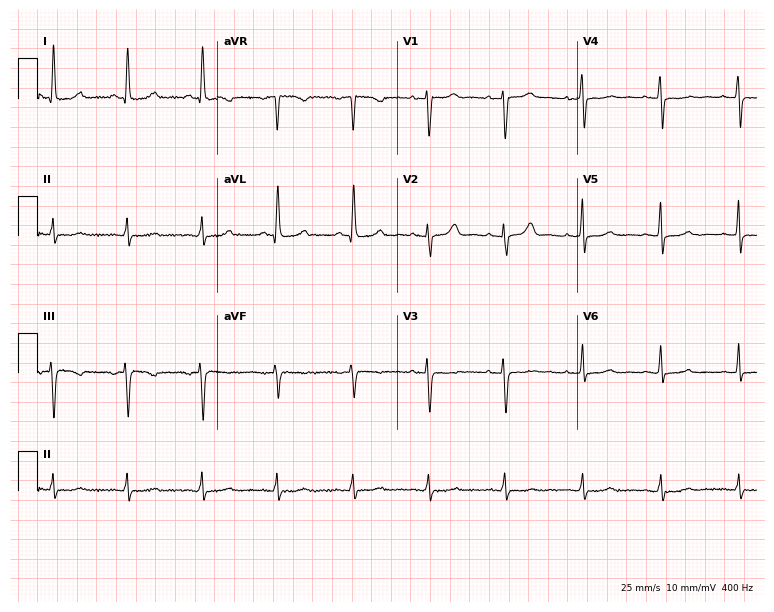
Standard 12-lead ECG recorded from a 70-year-old female patient. Read as a normal ECG.